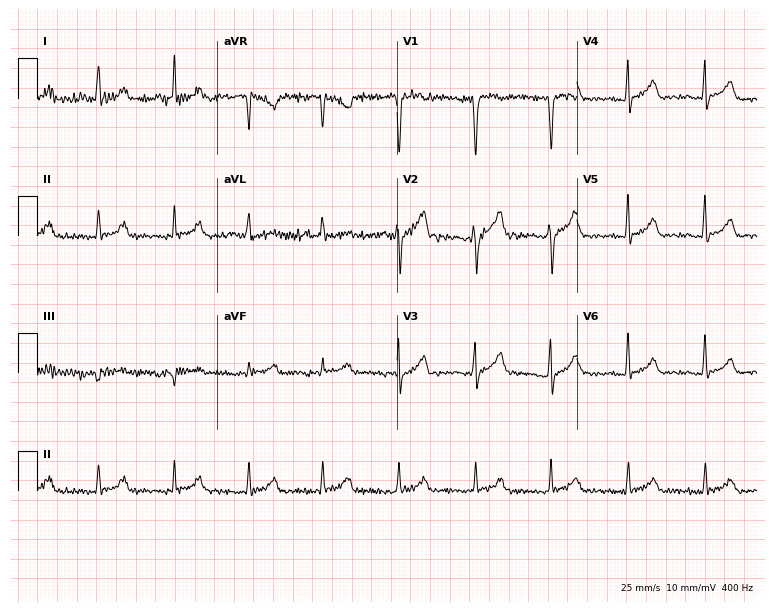
12-lead ECG from a man, 51 years old (7.3-second recording at 400 Hz). Recorded interpretation: within normal limits.